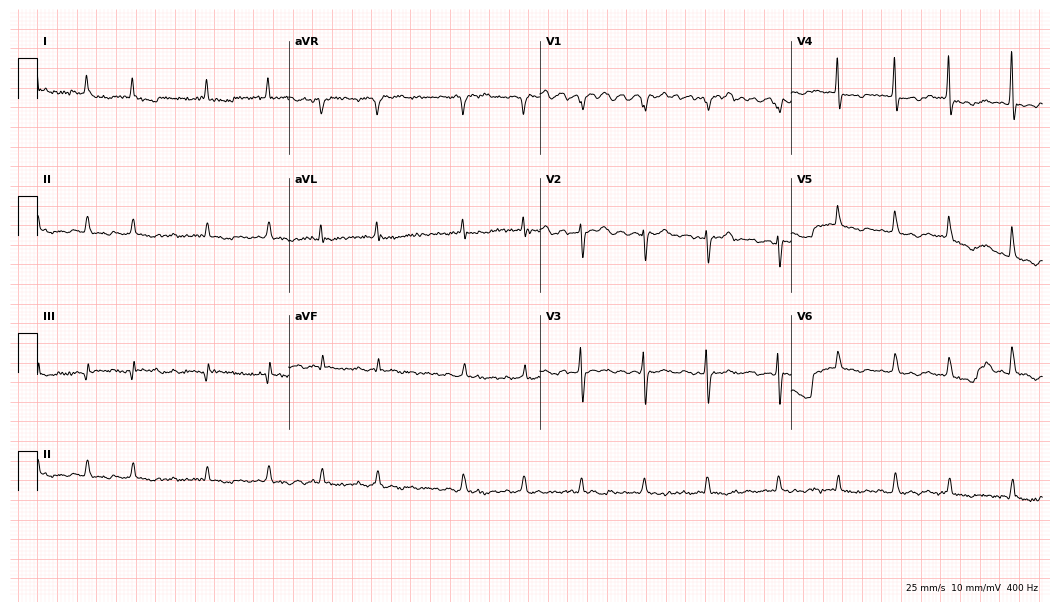
12-lead ECG from a 69-year-old female patient (10.2-second recording at 400 Hz). Shows atrial fibrillation (AF).